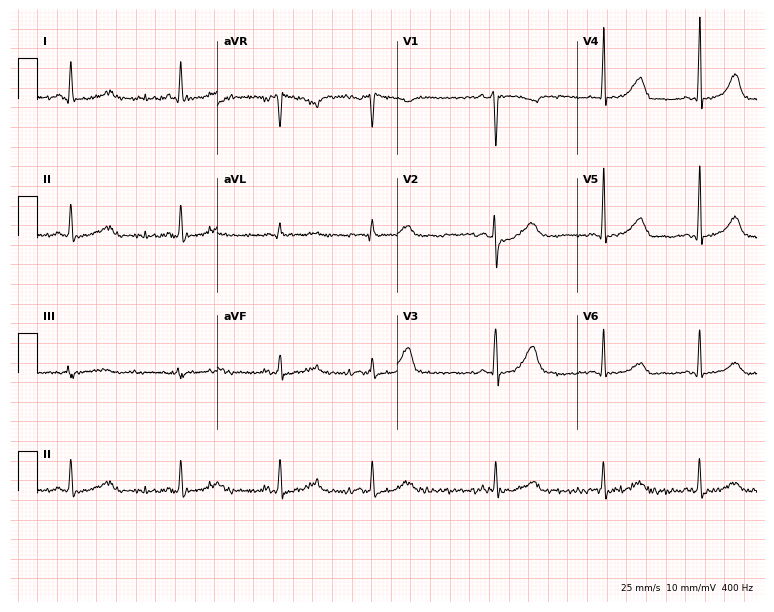
12-lead ECG from a 26-year-old male. No first-degree AV block, right bundle branch block, left bundle branch block, sinus bradycardia, atrial fibrillation or sinus tachycardia recorded for this tracing.